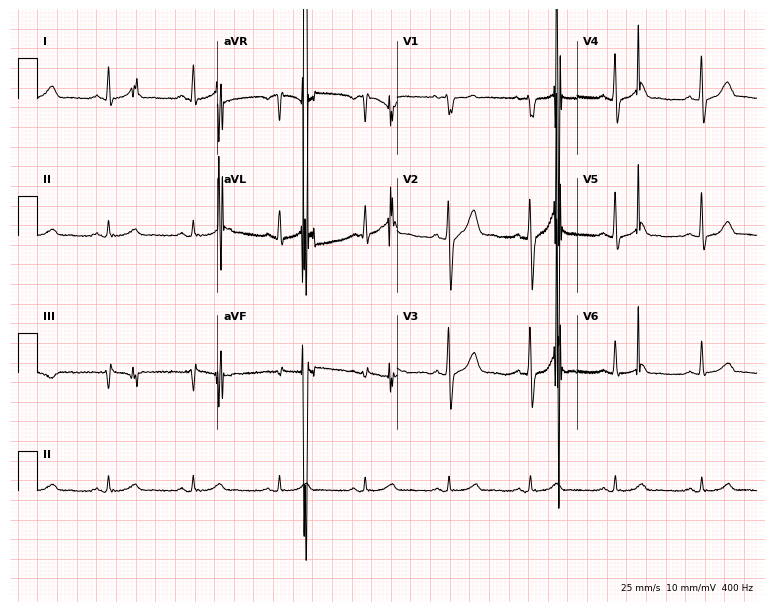
Resting 12-lead electrocardiogram (7.3-second recording at 400 Hz). Patient: a male, 30 years old. None of these six findings is recorded: first-degree AV block, right bundle branch block, left bundle branch block, sinus bradycardia, atrial fibrillation, sinus tachycardia. Findings outside these six are not listed.